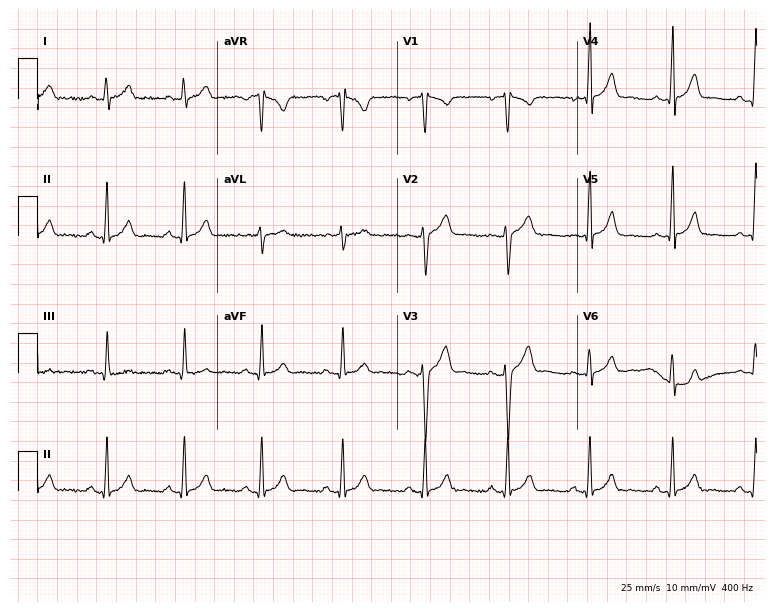
12-lead ECG (7.3-second recording at 400 Hz) from a male patient, 43 years old. Labelled as a normal ECG.